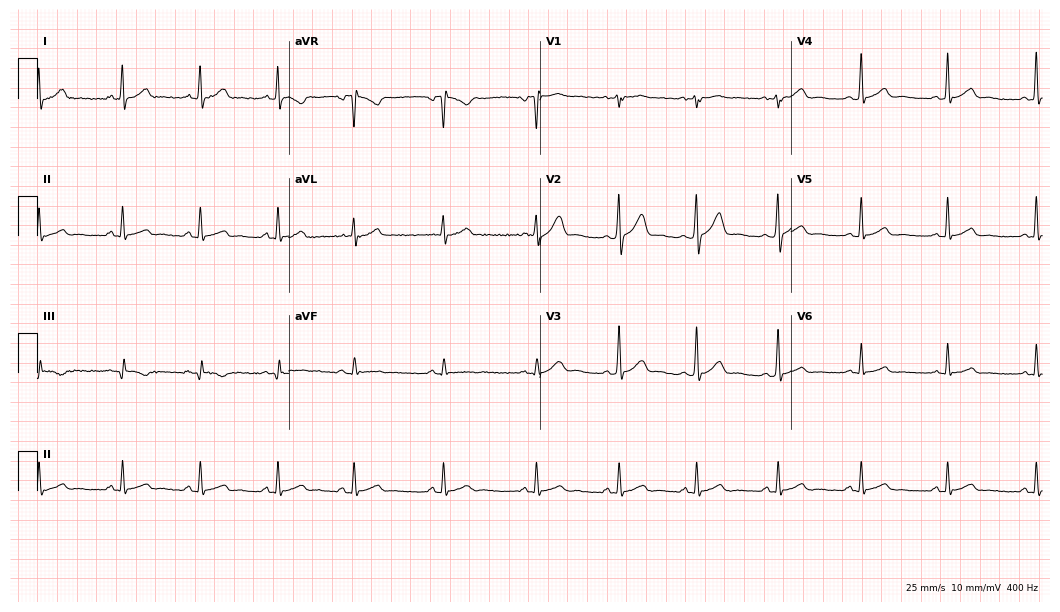
12-lead ECG from a male patient, 34 years old (10.2-second recording at 400 Hz). No first-degree AV block, right bundle branch block (RBBB), left bundle branch block (LBBB), sinus bradycardia, atrial fibrillation (AF) or sinus tachycardia recorded for this tracing. Other findings, if any, are not listed.